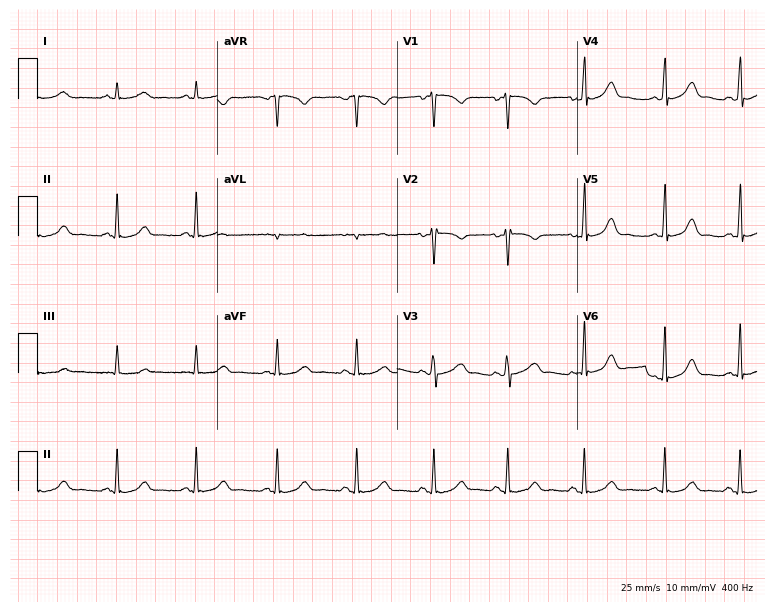
12-lead ECG (7.3-second recording at 400 Hz) from a woman, 46 years old. Labelled as a normal ECG.